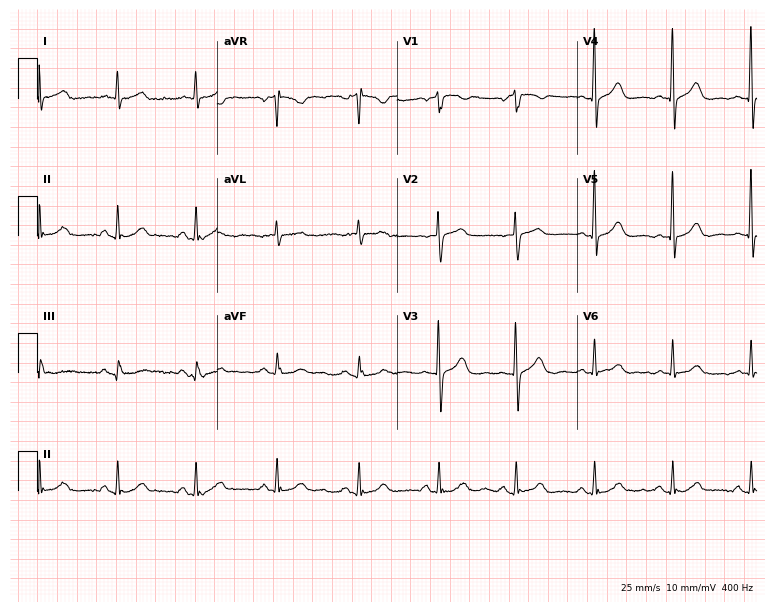
ECG — a woman, 76 years old. Screened for six findings — first-degree AV block, right bundle branch block, left bundle branch block, sinus bradycardia, atrial fibrillation, sinus tachycardia — none is recorded. Only these six findings were labelled.